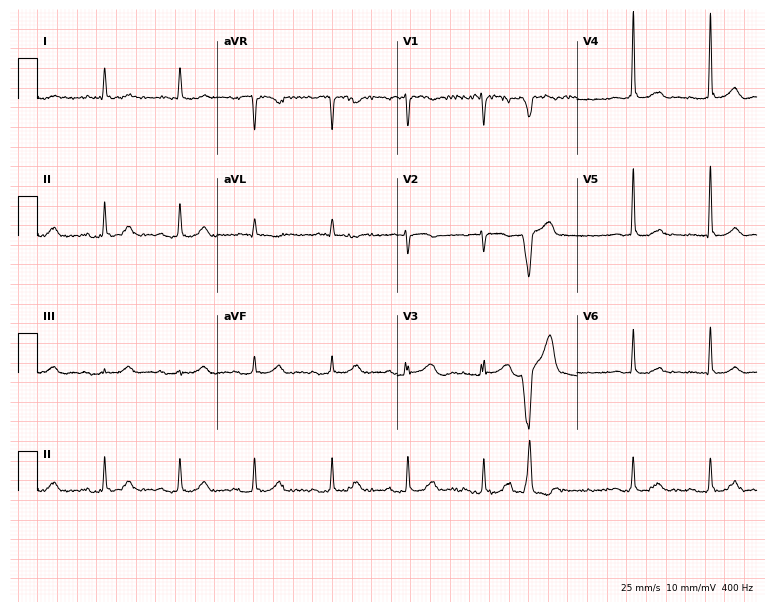
Standard 12-lead ECG recorded from an 83-year-old female. None of these six findings is recorded: first-degree AV block, right bundle branch block (RBBB), left bundle branch block (LBBB), sinus bradycardia, atrial fibrillation (AF), sinus tachycardia.